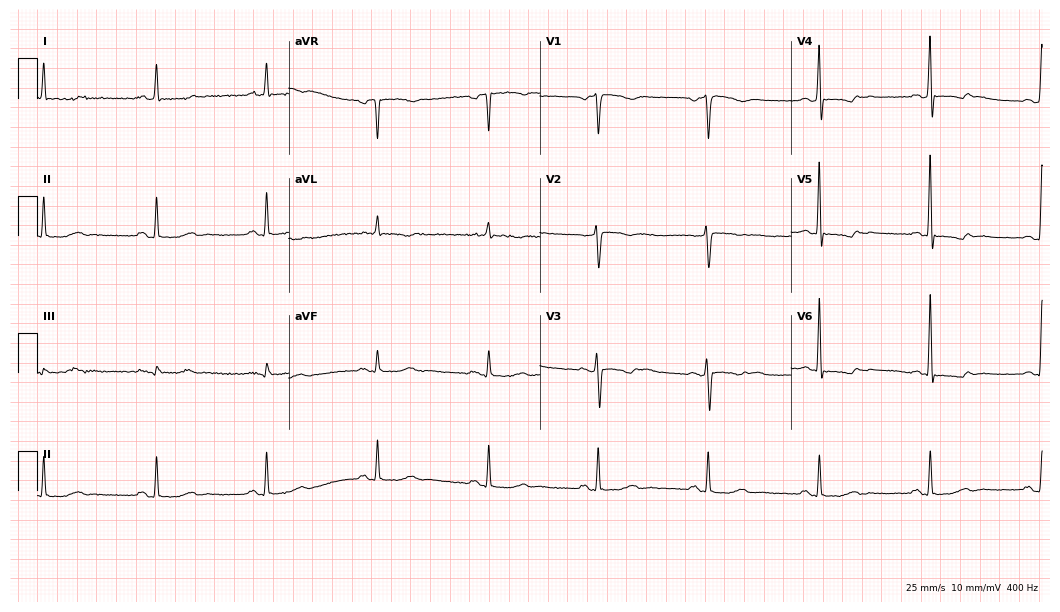
Resting 12-lead electrocardiogram. Patient: a woman, 66 years old. None of these six findings is recorded: first-degree AV block, right bundle branch block (RBBB), left bundle branch block (LBBB), sinus bradycardia, atrial fibrillation (AF), sinus tachycardia. Other findings, if any, are not listed.